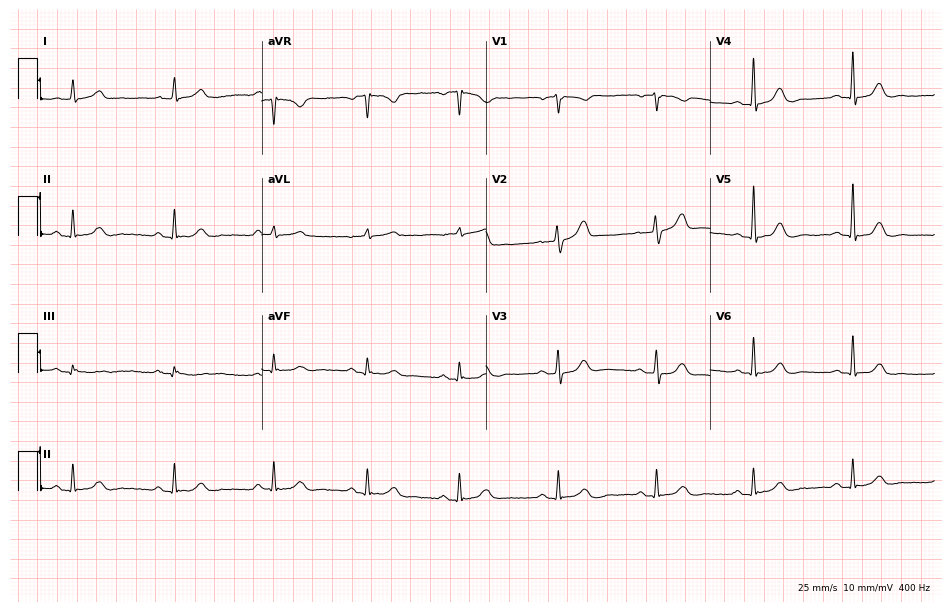
Standard 12-lead ECG recorded from a 52-year-old male. Read as a normal ECG.